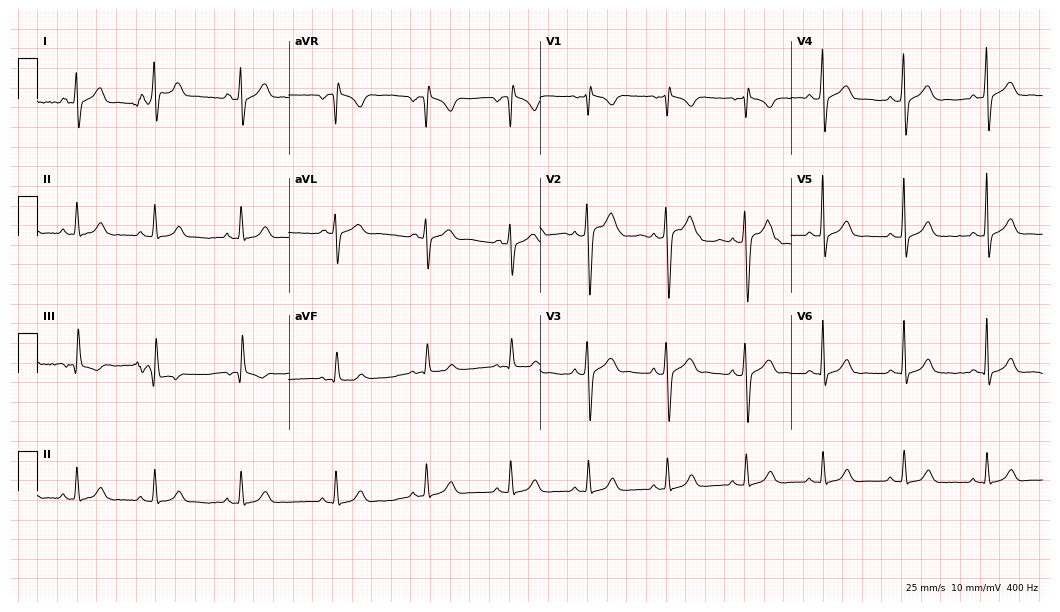
12-lead ECG from a male, 24 years old (10.2-second recording at 400 Hz). No first-degree AV block, right bundle branch block (RBBB), left bundle branch block (LBBB), sinus bradycardia, atrial fibrillation (AF) or sinus tachycardia recorded for this tracing.